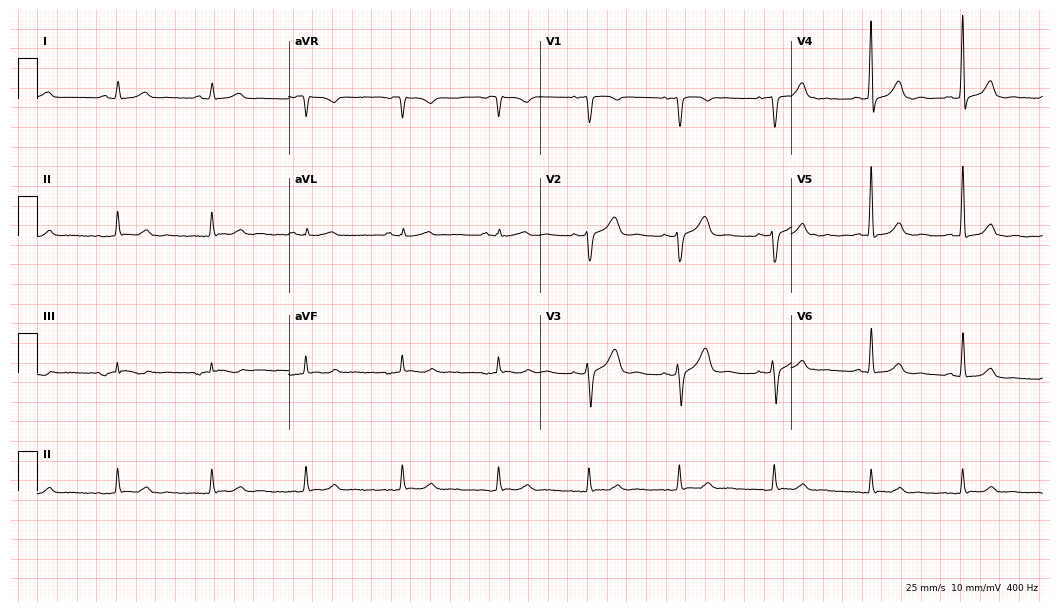
Standard 12-lead ECG recorded from a female, 53 years old. None of these six findings is recorded: first-degree AV block, right bundle branch block, left bundle branch block, sinus bradycardia, atrial fibrillation, sinus tachycardia.